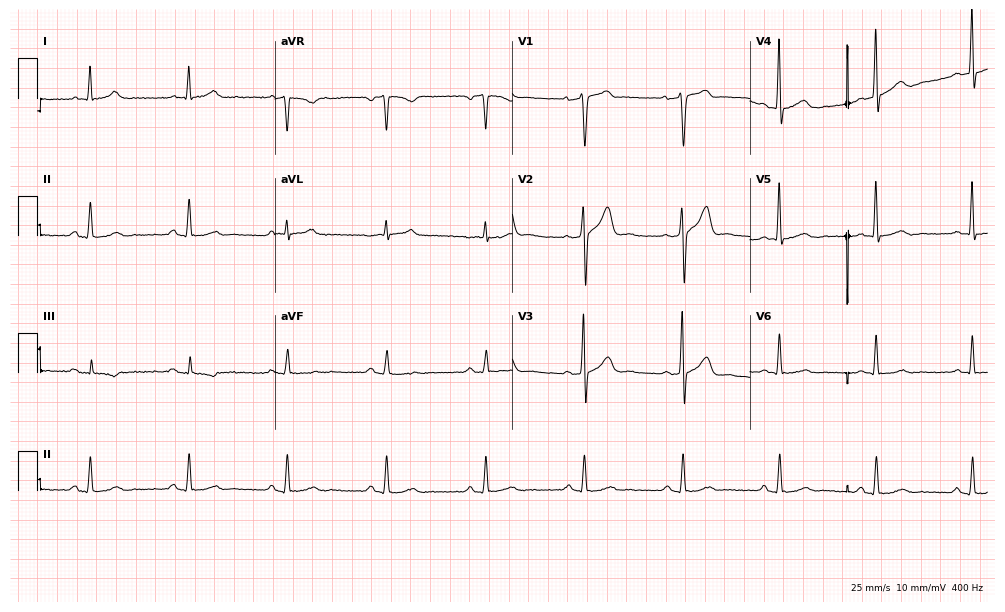
Electrocardiogram, a male, 58 years old. Of the six screened findings (first-degree AV block, right bundle branch block (RBBB), left bundle branch block (LBBB), sinus bradycardia, atrial fibrillation (AF), sinus tachycardia), none is recorded.